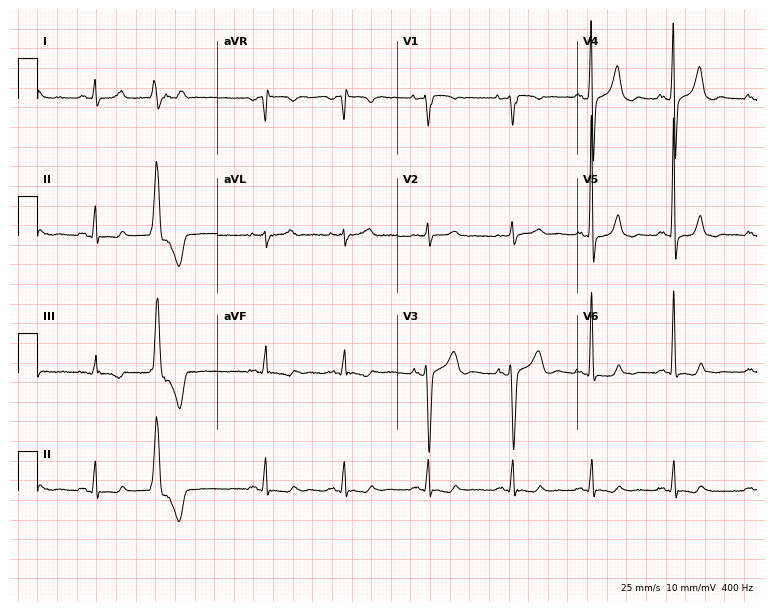
Standard 12-lead ECG recorded from a 58-year-old female patient. Read as a normal ECG.